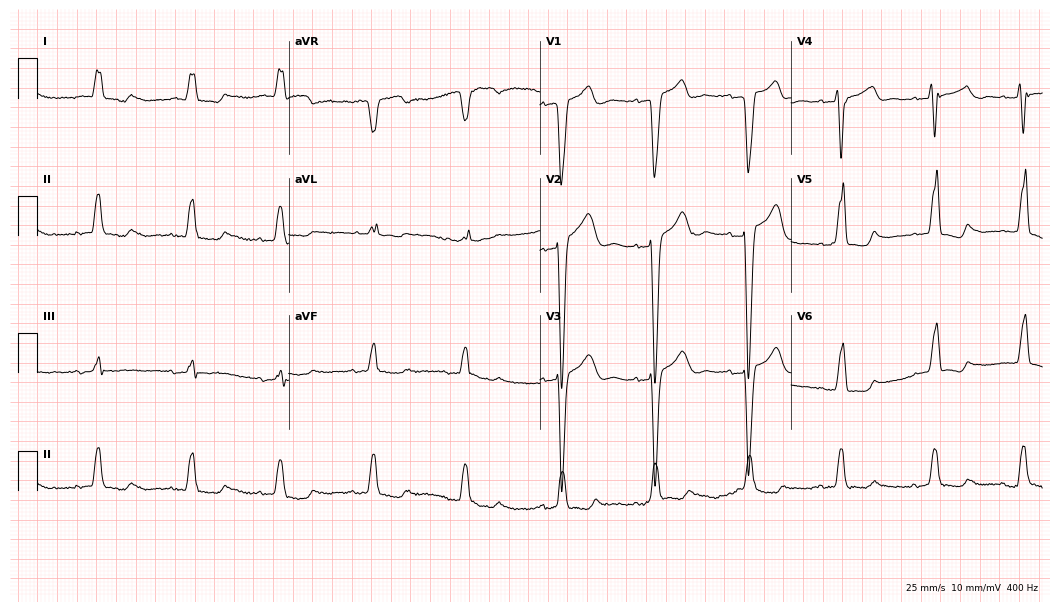
Resting 12-lead electrocardiogram (10.2-second recording at 400 Hz). Patient: a female, 71 years old. The tracing shows left bundle branch block.